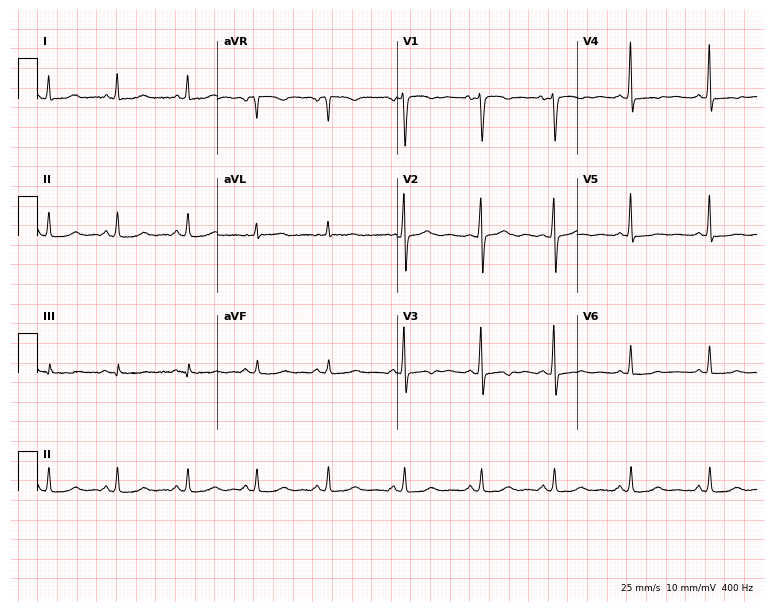
ECG (7.3-second recording at 400 Hz) — a 42-year-old woman. Labelled as a normal ECG.